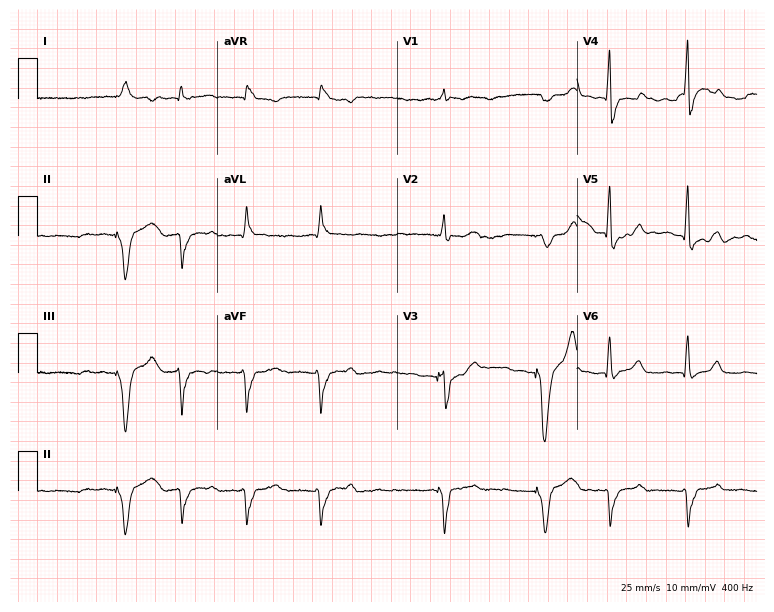
12-lead ECG from an 83-year-old male (7.3-second recording at 400 Hz). No first-degree AV block, right bundle branch block (RBBB), left bundle branch block (LBBB), sinus bradycardia, atrial fibrillation (AF) or sinus tachycardia recorded for this tracing.